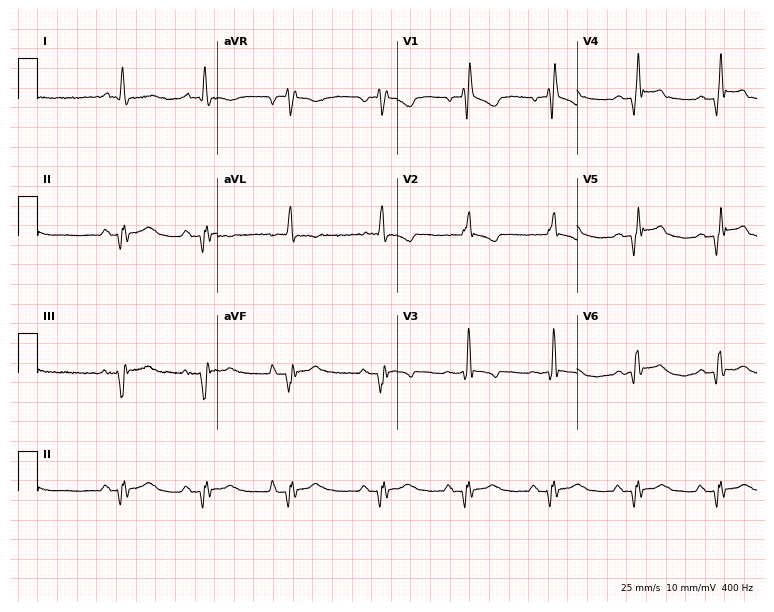
Electrocardiogram, an 82-year-old male patient. Interpretation includes right bundle branch block.